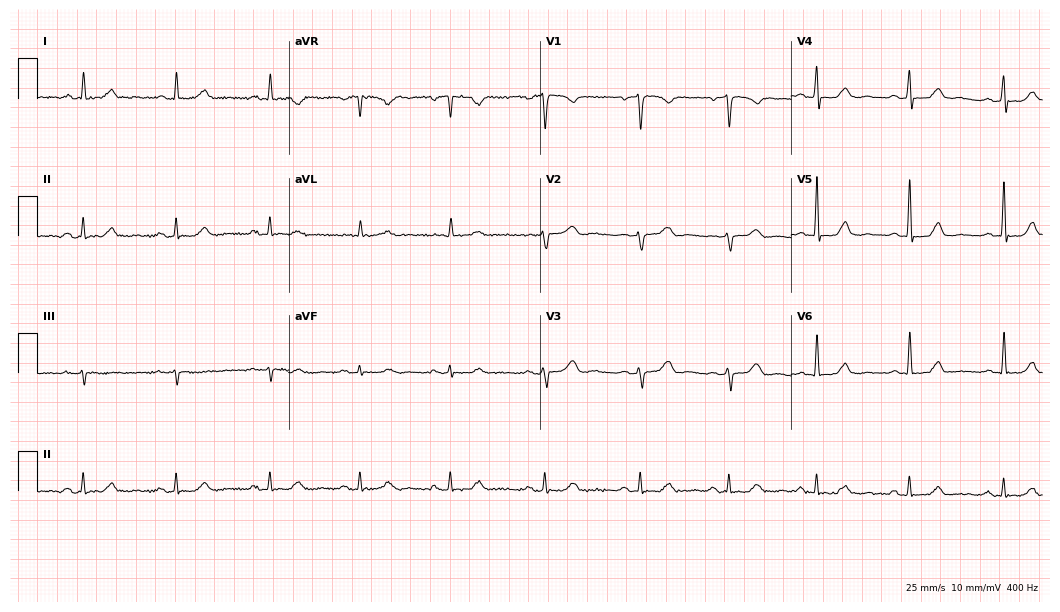
12-lead ECG from a woman, 44 years old. No first-degree AV block, right bundle branch block, left bundle branch block, sinus bradycardia, atrial fibrillation or sinus tachycardia recorded for this tracing. Only these six findings were labelled.